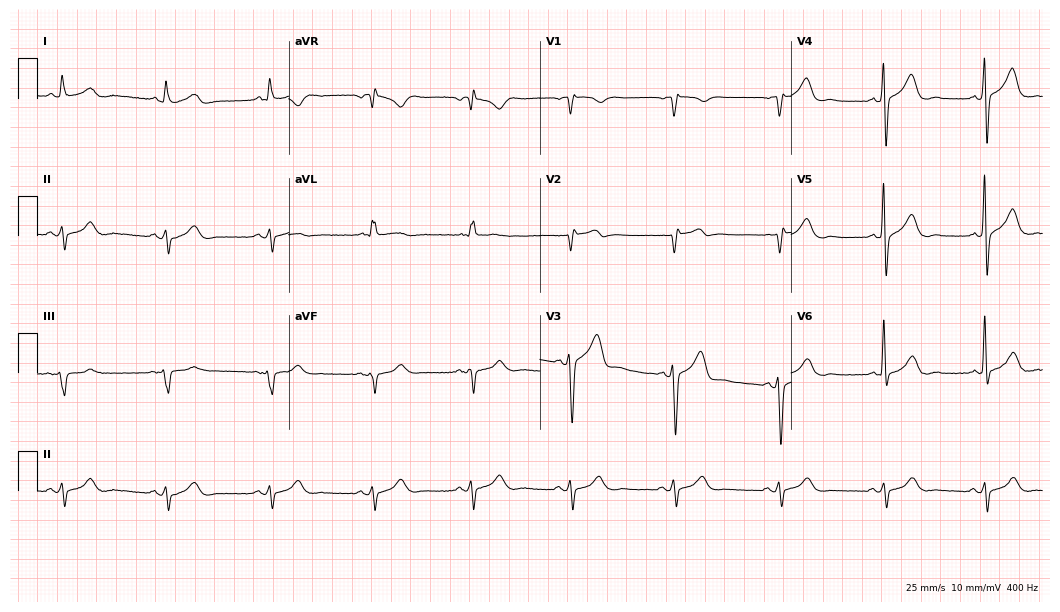
Standard 12-lead ECG recorded from a male, 71 years old. None of these six findings is recorded: first-degree AV block, right bundle branch block (RBBB), left bundle branch block (LBBB), sinus bradycardia, atrial fibrillation (AF), sinus tachycardia. Other findings, if any, are not listed.